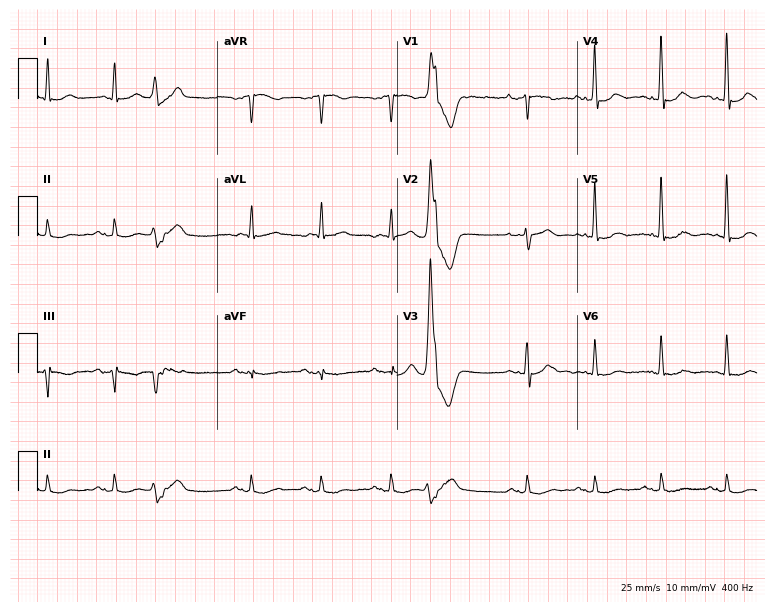
Standard 12-lead ECG recorded from a male, 75 years old (7.3-second recording at 400 Hz). None of these six findings is recorded: first-degree AV block, right bundle branch block, left bundle branch block, sinus bradycardia, atrial fibrillation, sinus tachycardia. Findings outside these six are not listed.